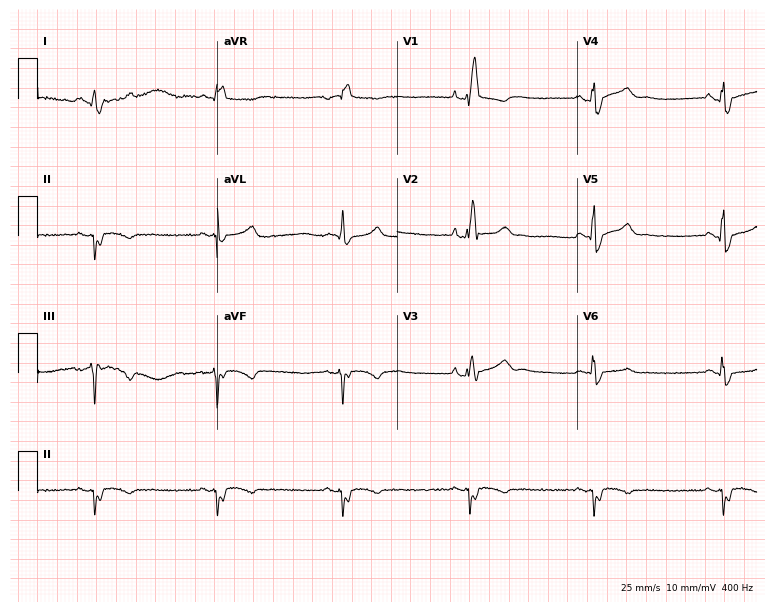
Electrocardiogram, a 42-year-old male. Interpretation includes right bundle branch block, sinus bradycardia (a sinus rate of 50 beats per minute or less).